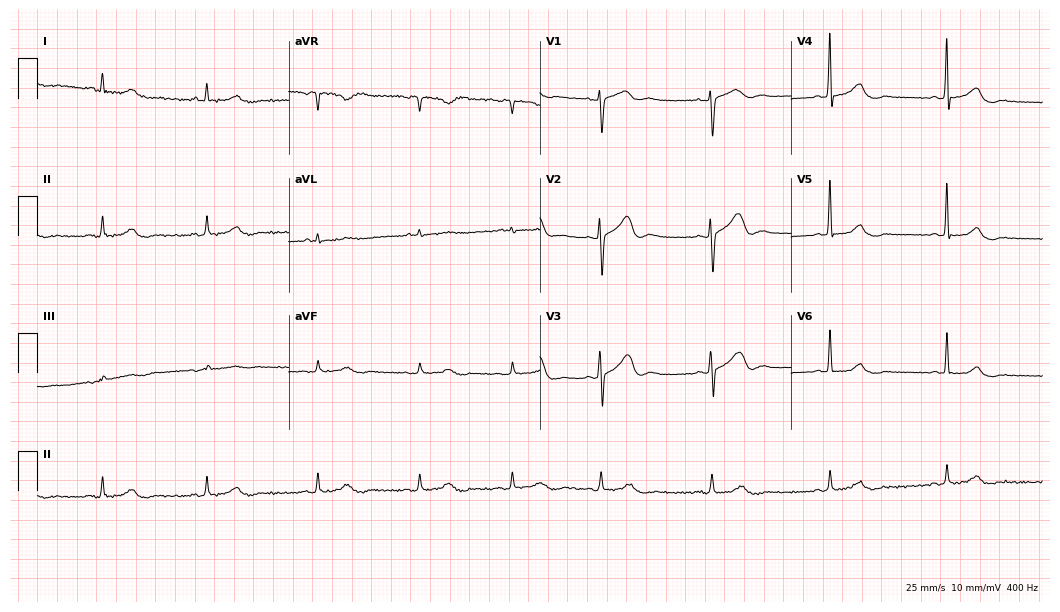
12-lead ECG from a 50-year-old woman. Screened for six findings — first-degree AV block, right bundle branch block, left bundle branch block, sinus bradycardia, atrial fibrillation, sinus tachycardia — none is recorded.